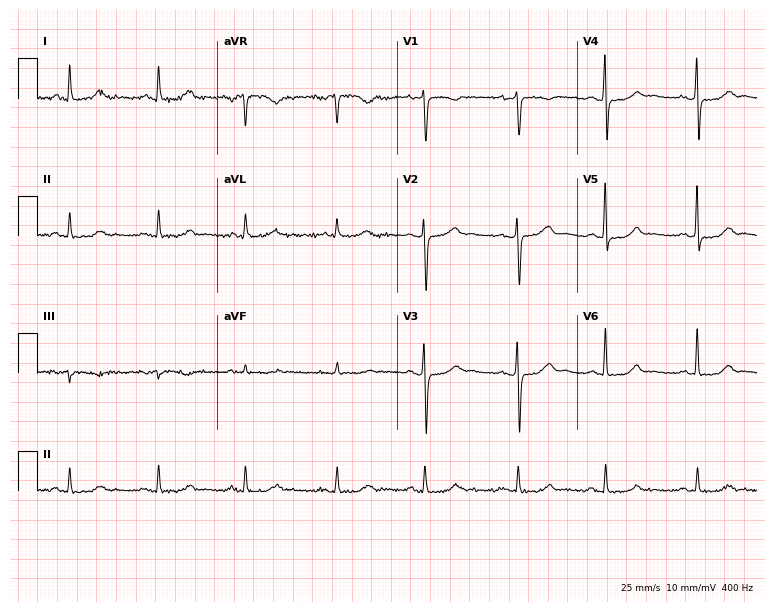
12-lead ECG from a 59-year-old female. Screened for six findings — first-degree AV block, right bundle branch block, left bundle branch block, sinus bradycardia, atrial fibrillation, sinus tachycardia — none is recorded. Findings outside these six are not listed.